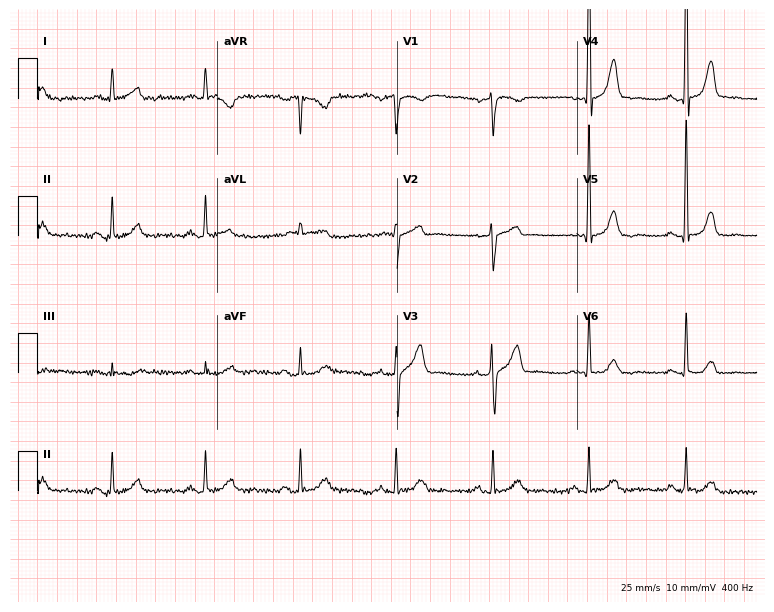
12-lead ECG from a 51-year-old male patient (7.3-second recording at 400 Hz). No first-degree AV block, right bundle branch block, left bundle branch block, sinus bradycardia, atrial fibrillation or sinus tachycardia recorded for this tracing. Other findings, if any, are not listed.